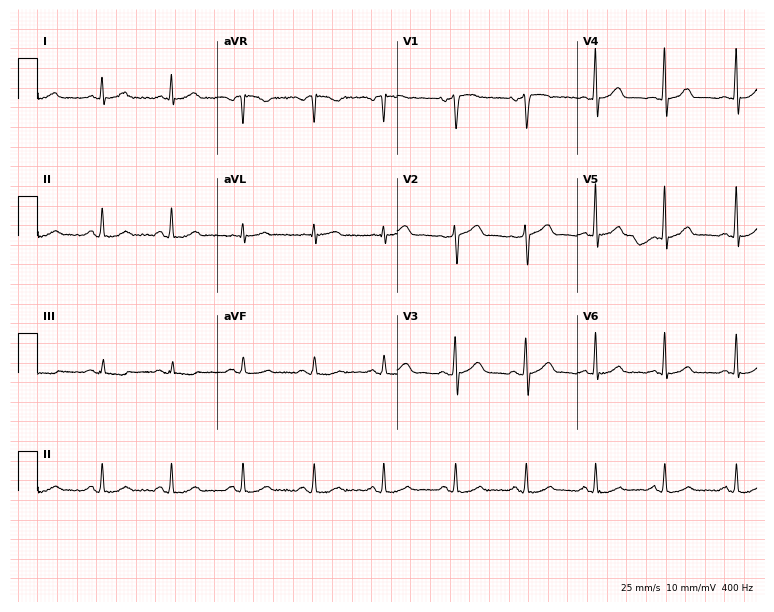
Standard 12-lead ECG recorded from a 70-year-old male patient (7.3-second recording at 400 Hz). Read as a normal ECG.